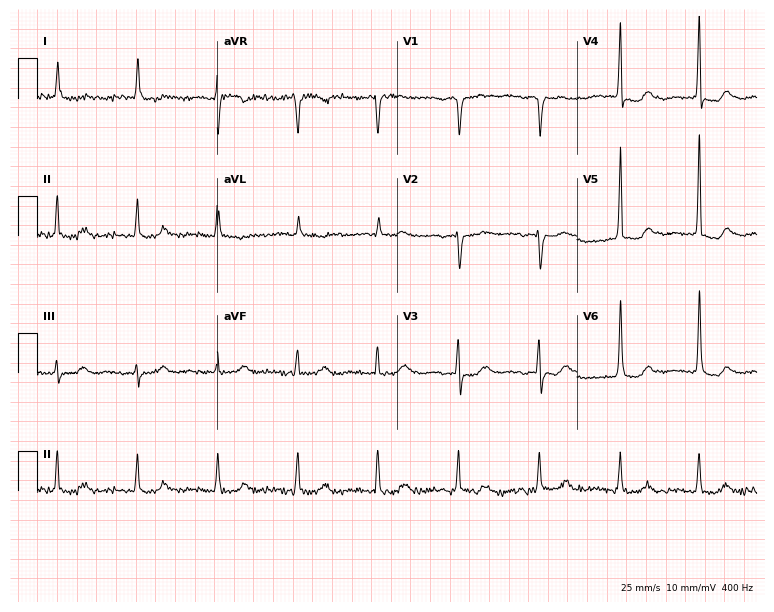
12-lead ECG (7.3-second recording at 400 Hz) from an 83-year-old female. Screened for six findings — first-degree AV block, right bundle branch block, left bundle branch block, sinus bradycardia, atrial fibrillation, sinus tachycardia — none is recorded.